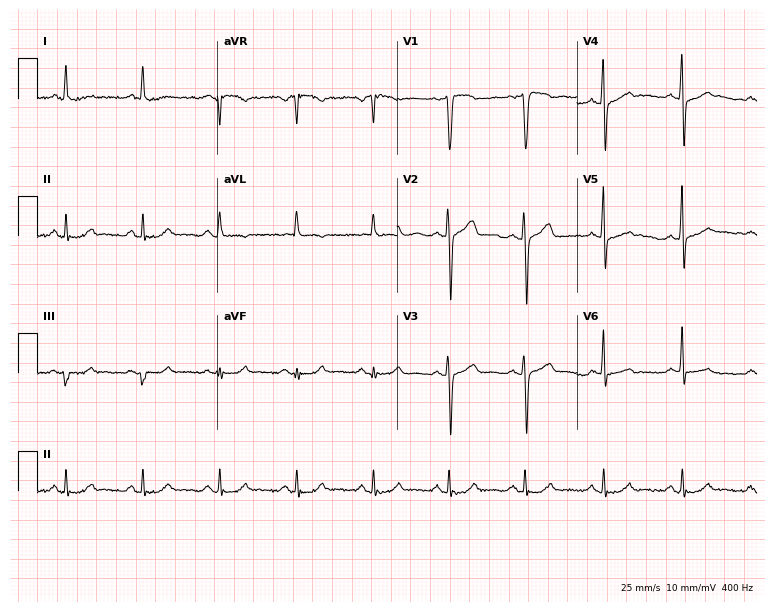
Resting 12-lead electrocardiogram. Patient: a man, 46 years old. None of these six findings is recorded: first-degree AV block, right bundle branch block, left bundle branch block, sinus bradycardia, atrial fibrillation, sinus tachycardia.